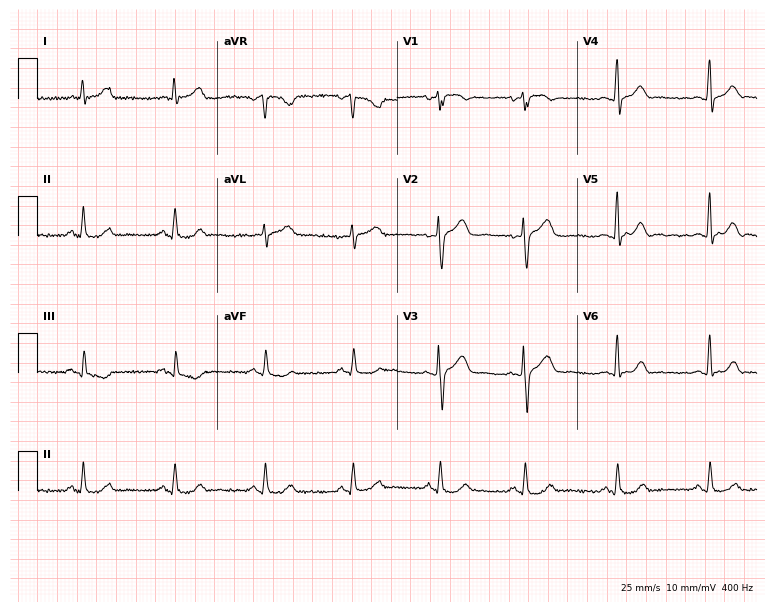
12-lead ECG from a 60-year-old female (7.3-second recording at 400 Hz). Recorded interpretation: within normal limits.